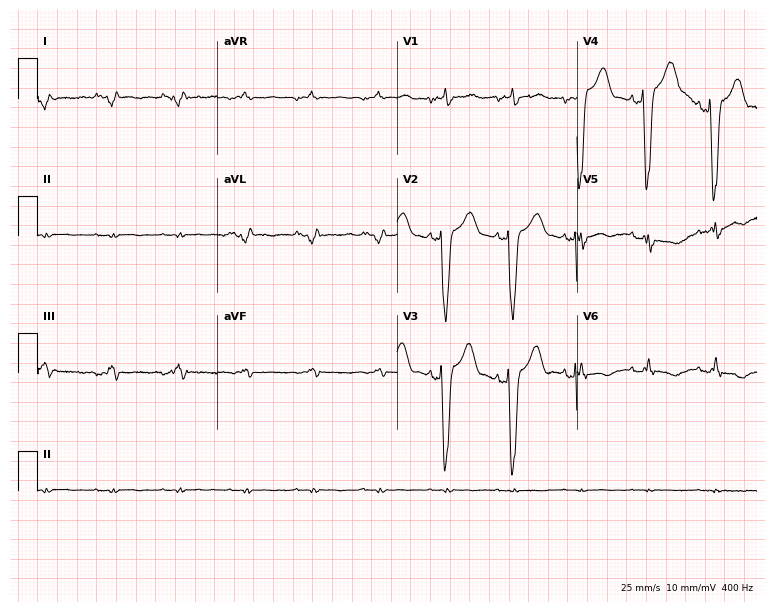
ECG — an 85-year-old male patient. Screened for six findings — first-degree AV block, right bundle branch block (RBBB), left bundle branch block (LBBB), sinus bradycardia, atrial fibrillation (AF), sinus tachycardia — none is recorded.